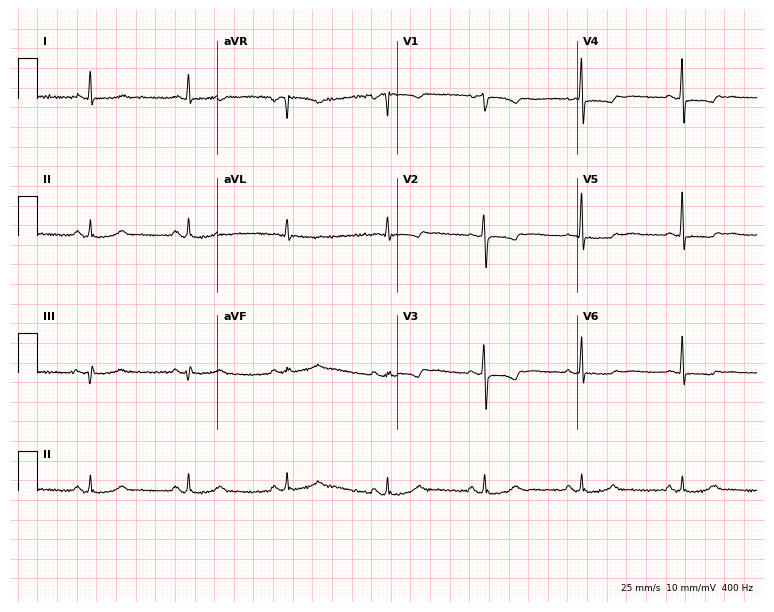
Electrocardiogram (7.3-second recording at 400 Hz), a woman, 61 years old. Of the six screened findings (first-degree AV block, right bundle branch block, left bundle branch block, sinus bradycardia, atrial fibrillation, sinus tachycardia), none is recorded.